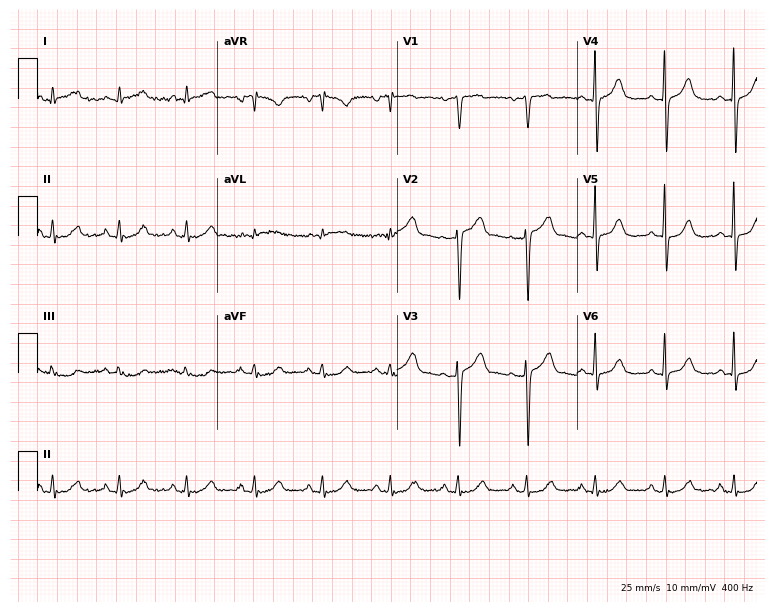
12-lead ECG (7.3-second recording at 400 Hz) from a 61-year-old woman. Labelled as a normal ECG.